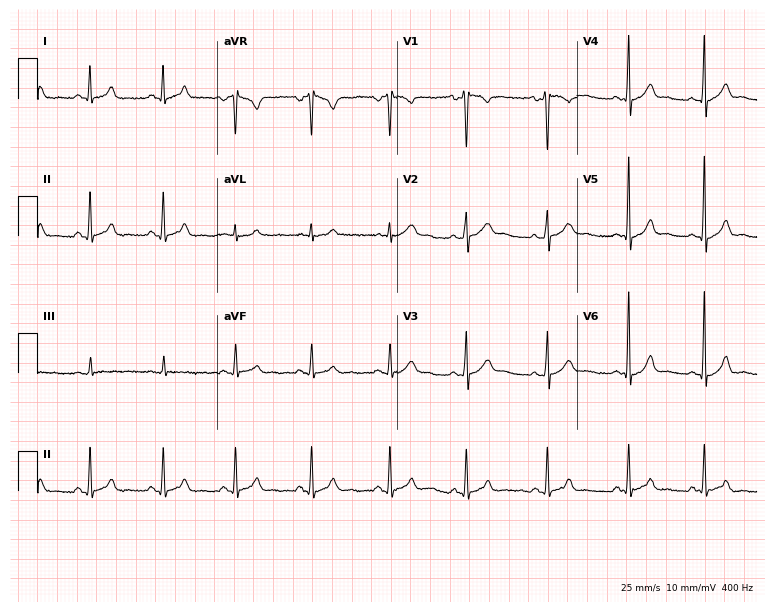
Electrocardiogram (7.3-second recording at 400 Hz), a male patient, 42 years old. Overall reading on record: normal ECG.